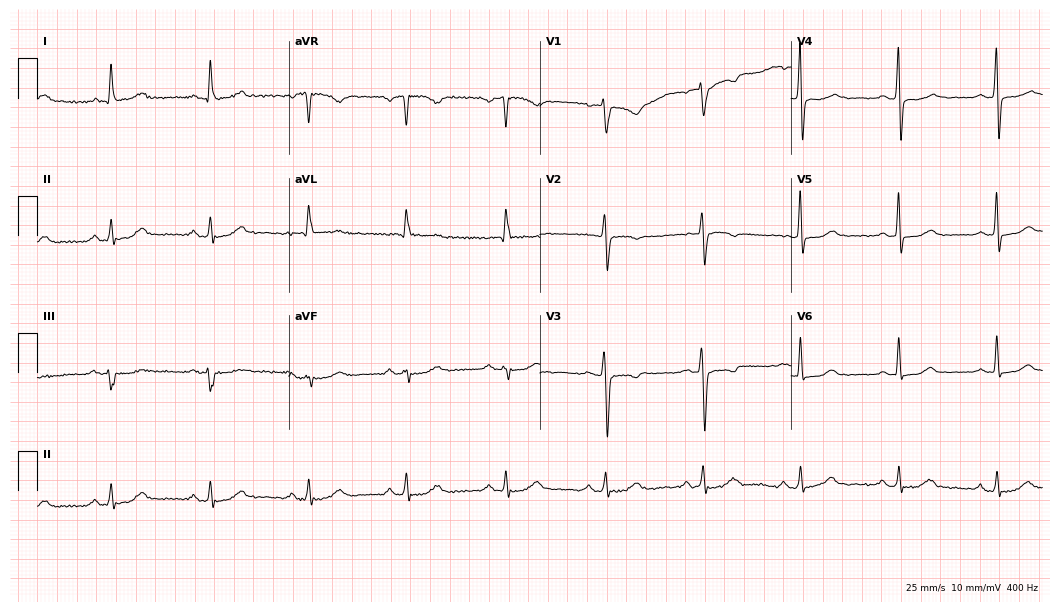
Resting 12-lead electrocardiogram. Patient: a female, 62 years old. Read as a normal ECG.